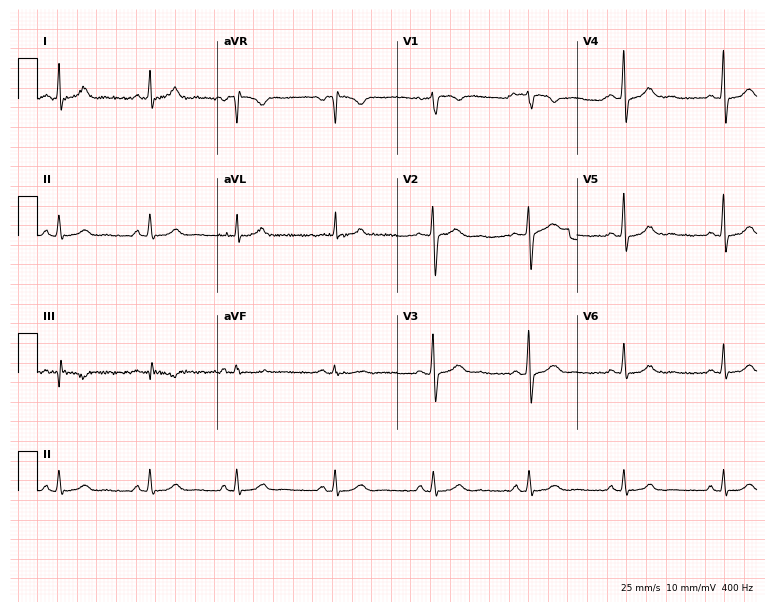
12-lead ECG from a 39-year-old man. Recorded interpretation: within normal limits.